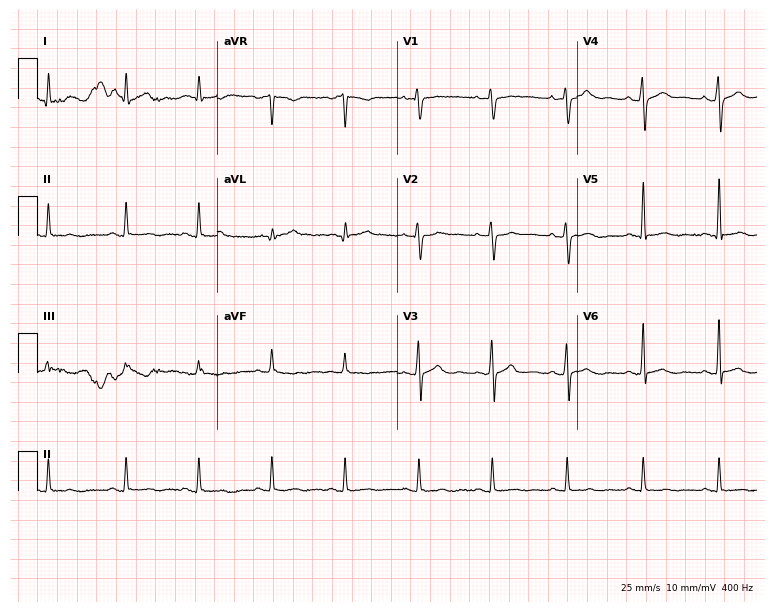
12-lead ECG from a 29-year-old male (7.3-second recording at 400 Hz). No first-degree AV block, right bundle branch block, left bundle branch block, sinus bradycardia, atrial fibrillation or sinus tachycardia recorded for this tracing.